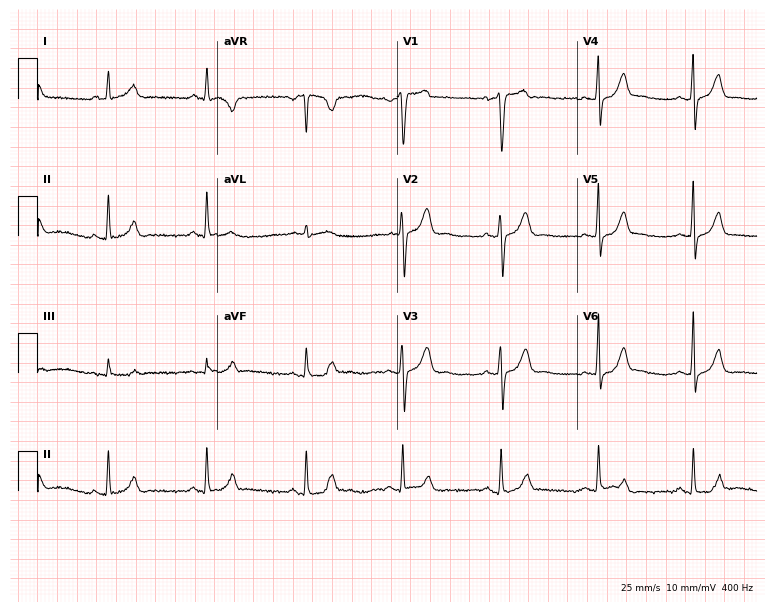
Resting 12-lead electrocardiogram. Patient: a 51-year-old male. Read as a normal ECG.